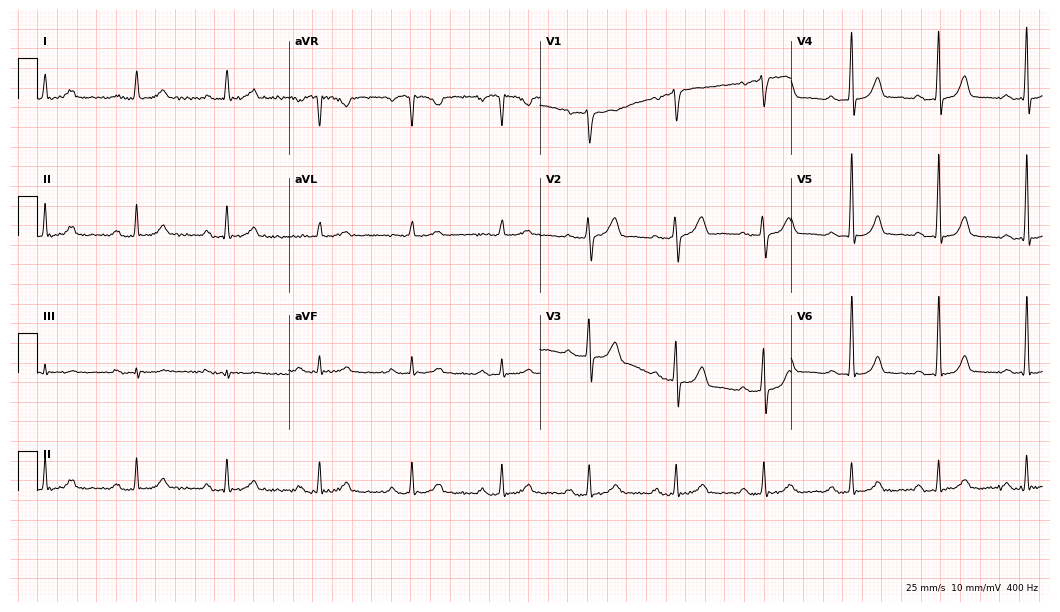
Resting 12-lead electrocardiogram (10.2-second recording at 400 Hz). Patient: a 66-year-old man. The tracing shows first-degree AV block.